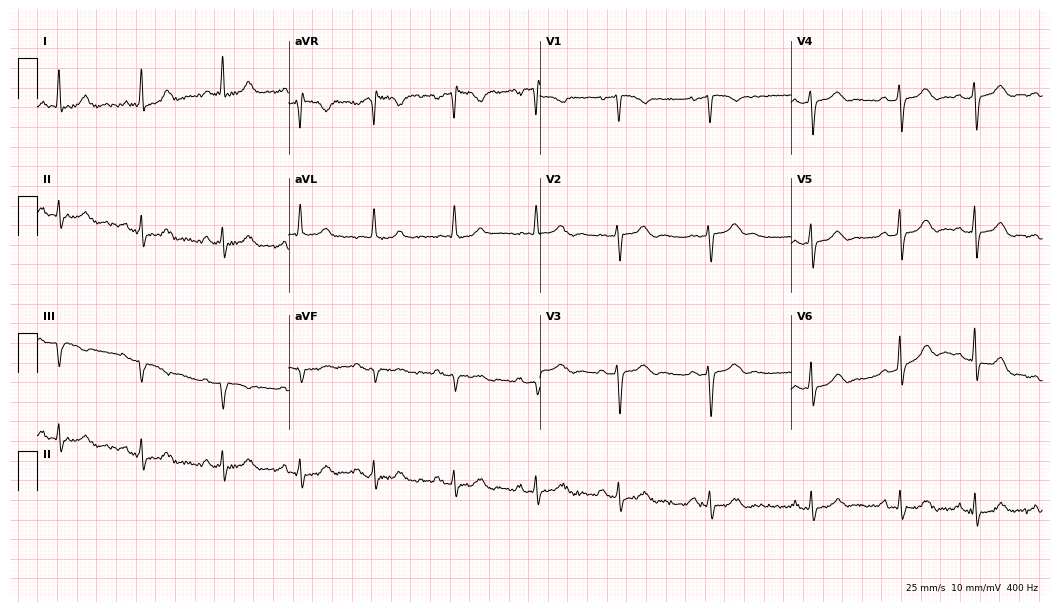
Resting 12-lead electrocardiogram. Patient: a female, 51 years old. None of these six findings is recorded: first-degree AV block, right bundle branch block, left bundle branch block, sinus bradycardia, atrial fibrillation, sinus tachycardia. Only these six findings were labelled.